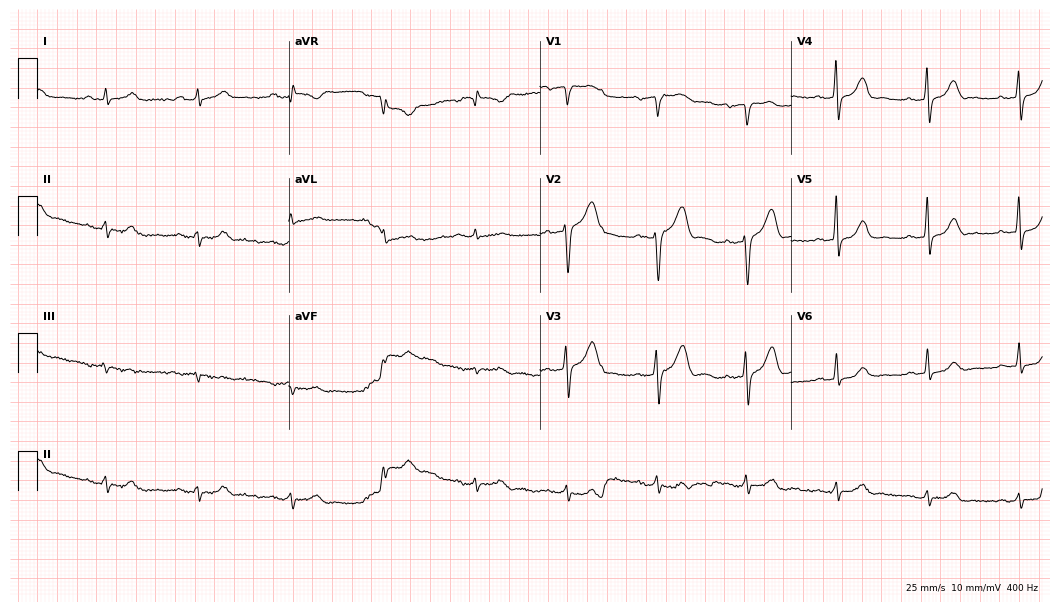
ECG (10.2-second recording at 400 Hz) — a 69-year-old man. Labelled as a normal ECG.